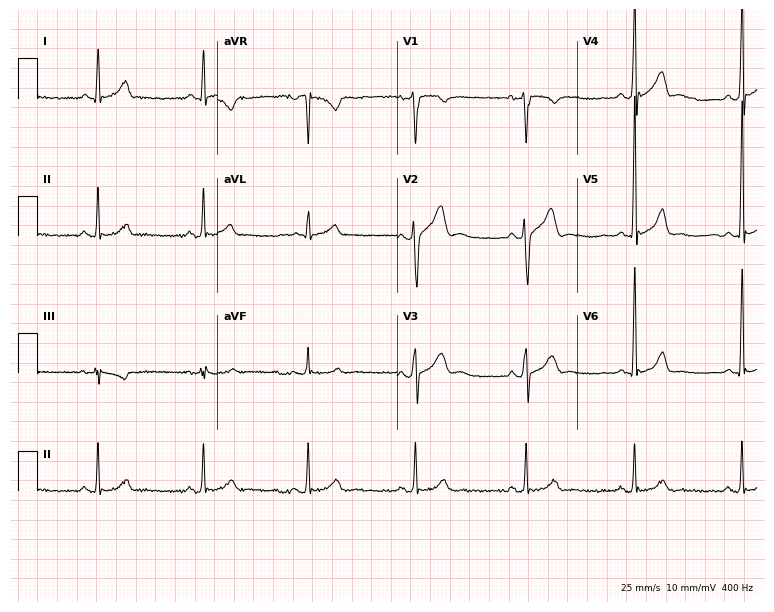
ECG (7.3-second recording at 400 Hz) — a 44-year-old male. Screened for six findings — first-degree AV block, right bundle branch block, left bundle branch block, sinus bradycardia, atrial fibrillation, sinus tachycardia — none is recorded.